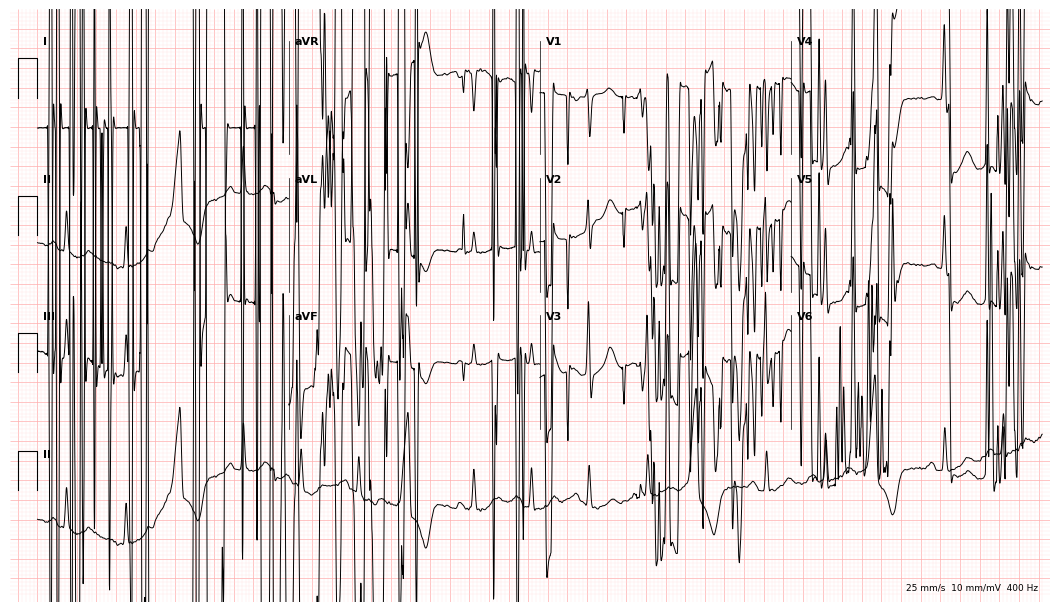
Electrocardiogram (10.2-second recording at 400 Hz), a male patient, 81 years old. Of the six screened findings (first-degree AV block, right bundle branch block, left bundle branch block, sinus bradycardia, atrial fibrillation, sinus tachycardia), none is recorded. Only these six findings were labelled.